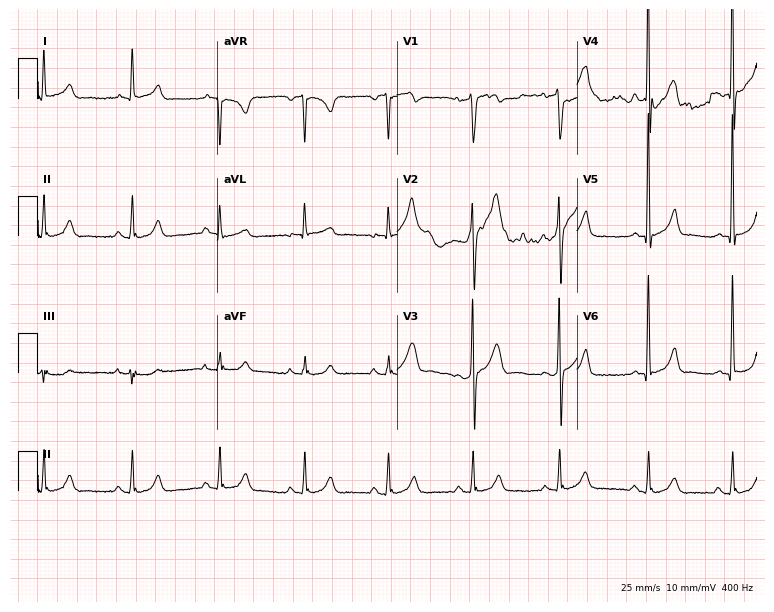
Standard 12-lead ECG recorded from a 48-year-old male (7.3-second recording at 400 Hz). Read as a normal ECG.